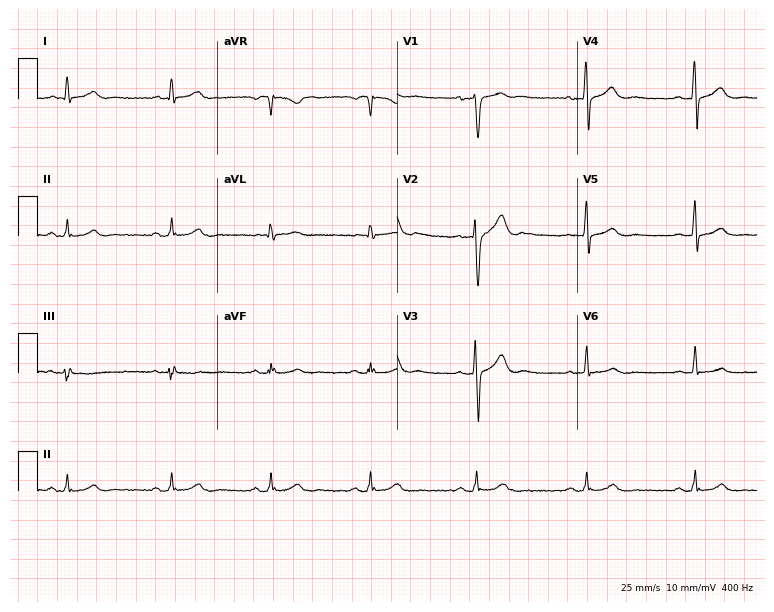
Resting 12-lead electrocardiogram. Patient: a 49-year-old male. Read as a normal ECG.